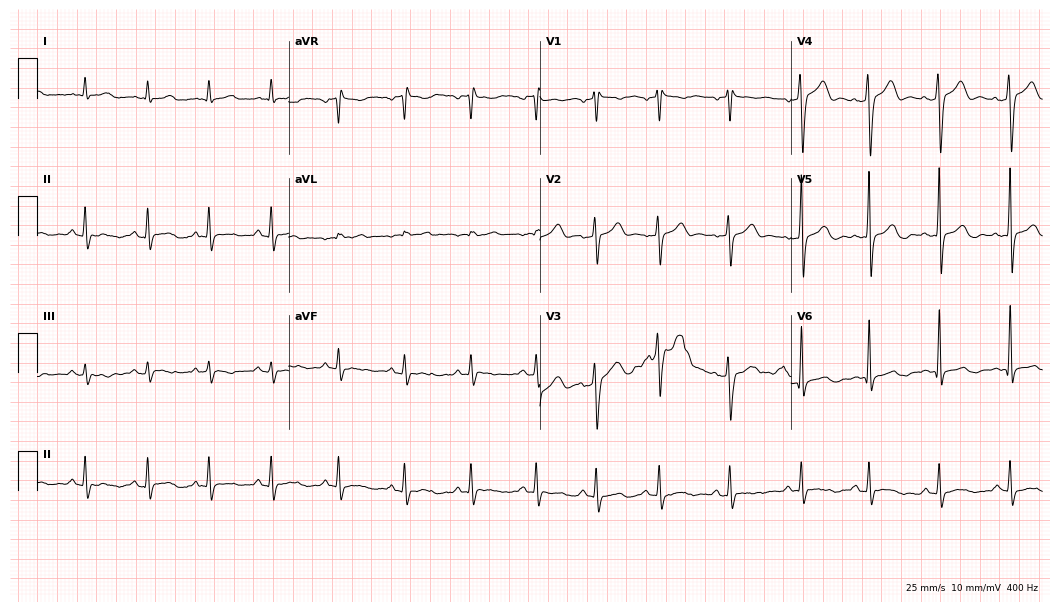
Electrocardiogram (10.2-second recording at 400 Hz), a male, 28 years old. Of the six screened findings (first-degree AV block, right bundle branch block, left bundle branch block, sinus bradycardia, atrial fibrillation, sinus tachycardia), none is recorded. Other findings, if any, are not listed.